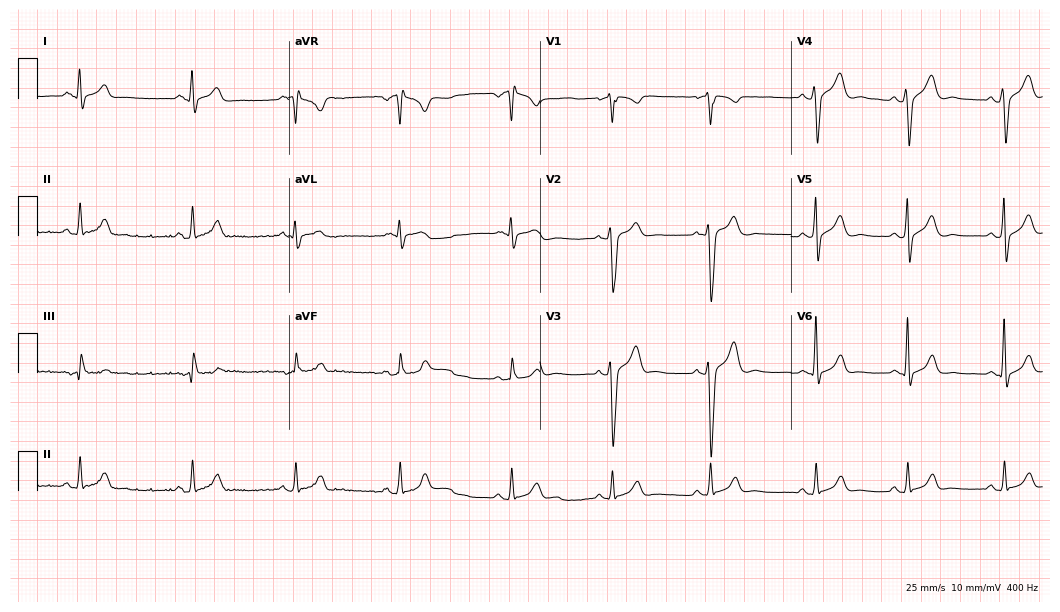
Electrocardiogram, a man, 26 years old. Of the six screened findings (first-degree AV block, right bundle branch block (RBBB), left bundle branch block (LBBB), sinus bradycardia, atrial fibrillation (AF), sinus tachycardia), none is recorded.